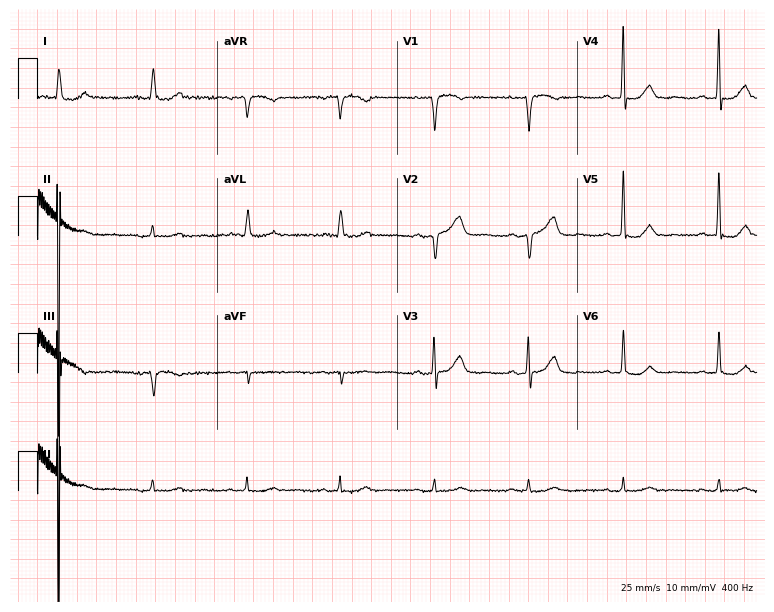
Electrocardiogram (7.3-second recording at 400 Hz), a woman, 80 years old. Of the six screened findings (first-degree AV block, right bundle branch block (RBBB), left bundle branch block (LBBB), sinus bradycardia, atrial fibrillation (AF), sinus tachycardia), none is recorded.